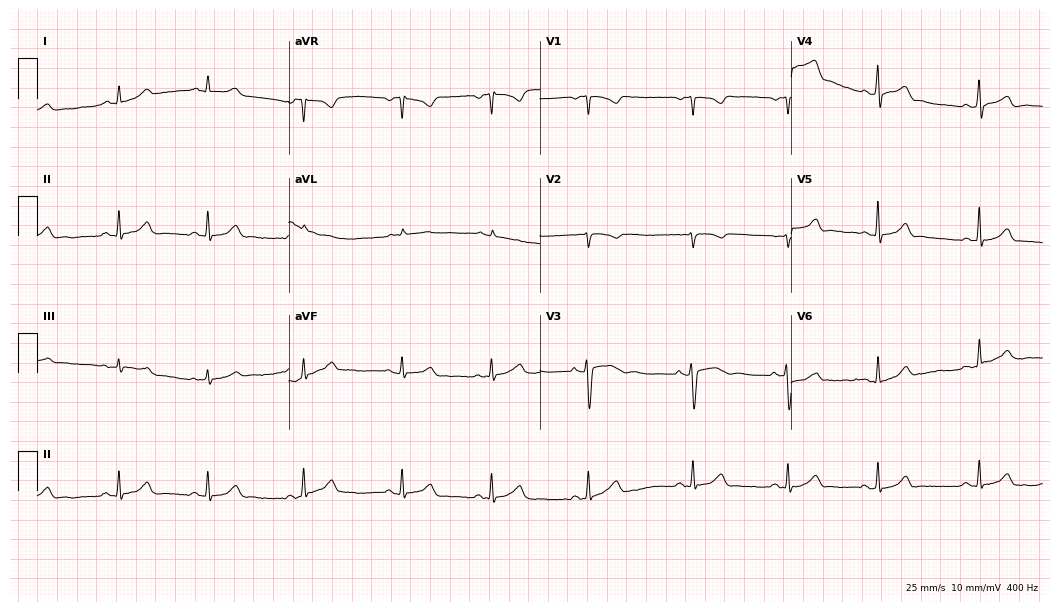
Resting 12-lead electrocardiogram (10.2-second recording at 400 Hz). Patient: a female, 35 years old. Read as a normal ECG.